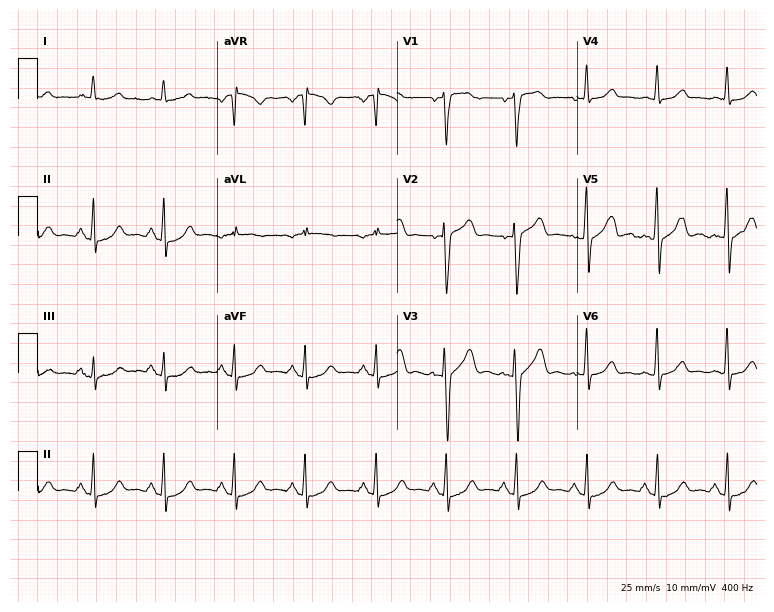
Electrocardiogram, a 65-year-old male patient. Of the six screened findings (first-degree AV block, right bundle branch block, left bundle branch block, sinus bradycardia, atrial fibrillation, sinus tachycardia), none is recorded.